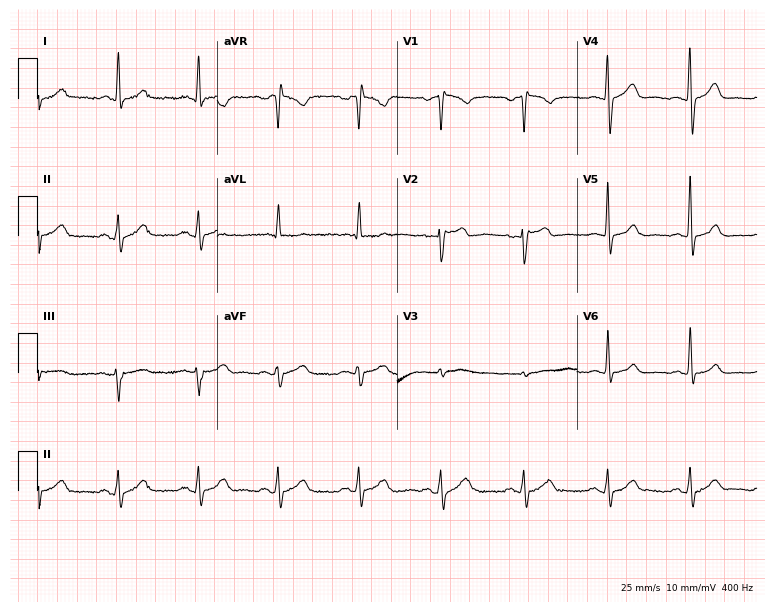
ECG — a male, 52 years old. Labelled as a normal ECG.